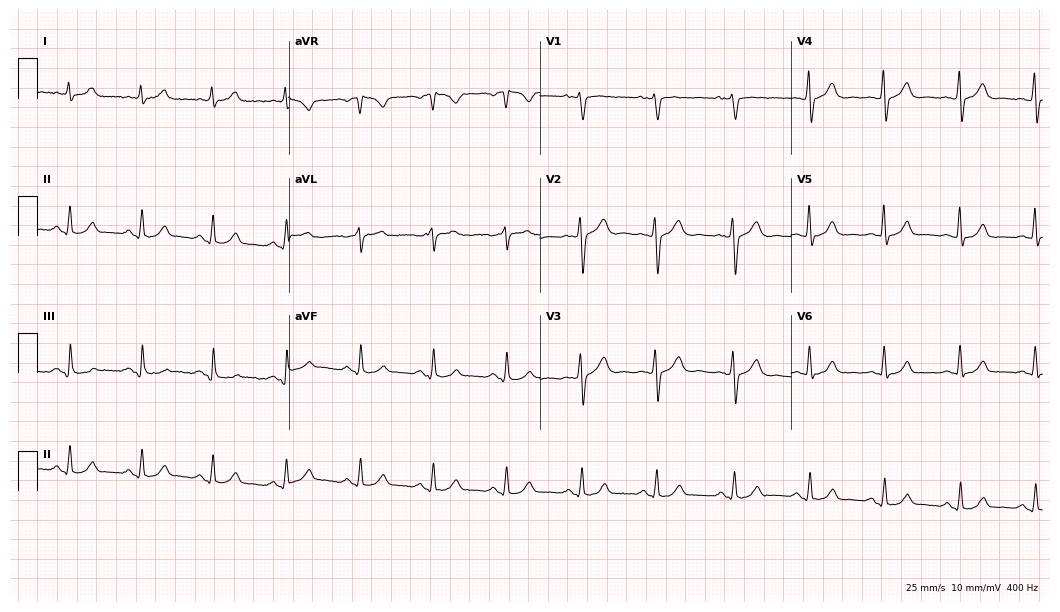
ECG — a 44-year-old male. Labelled as a normal ECG.